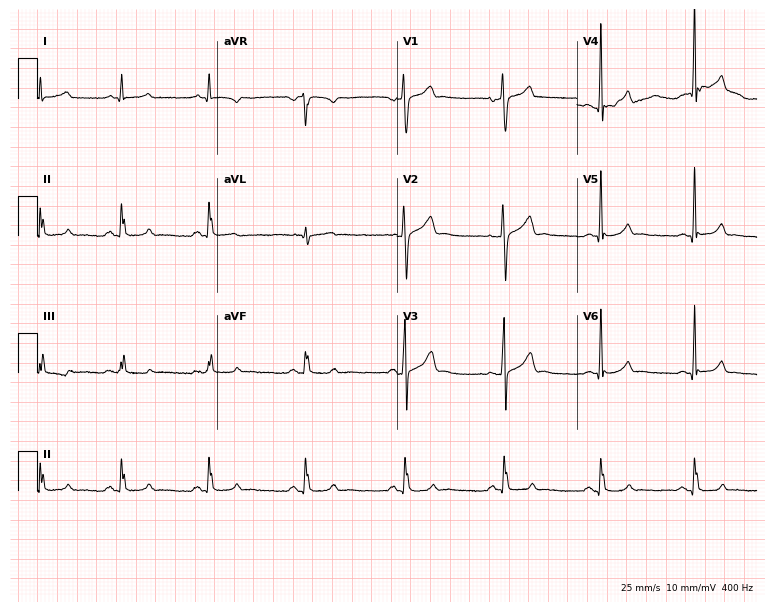
Standard 12-lead ECG recorded from a male, 27 years old. None of these six findings is recorded: first-degree AV block, right bundle branch block, left bundle branch block, sinus bradycardia, atrial fibrillation, sinus tachycardia. Other findings, if any, are not listed.